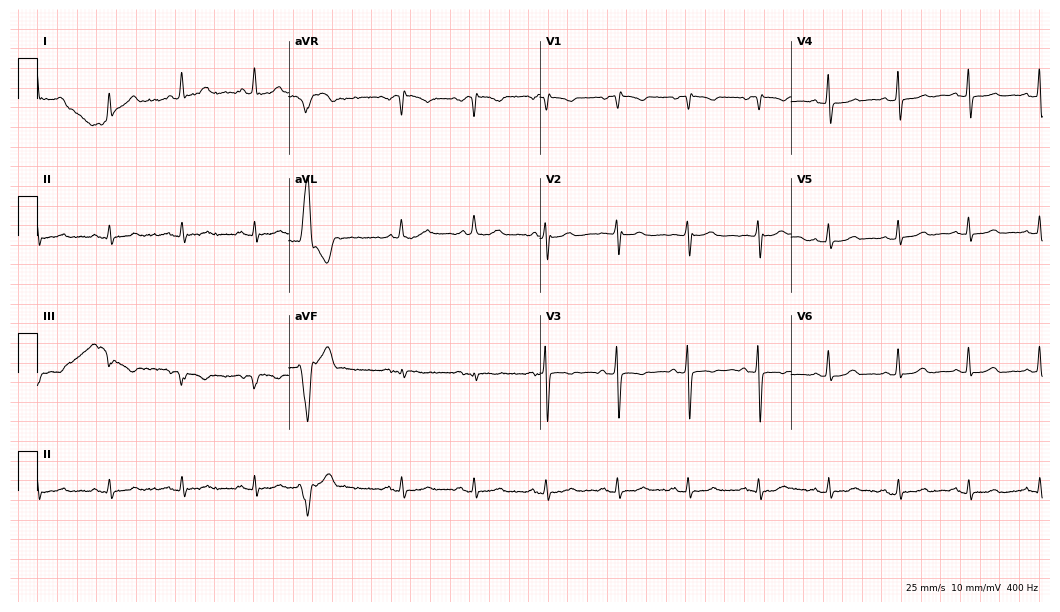
12-lead ECG (10.2-second recording at 400 Hz) from an 86-year-old female. Screened for six findings — first-degree AV block, right bundle branch block, left bundle branch block, sinus bradycardia, atrial fibrillation, sinus tachycardia — none is recorded.